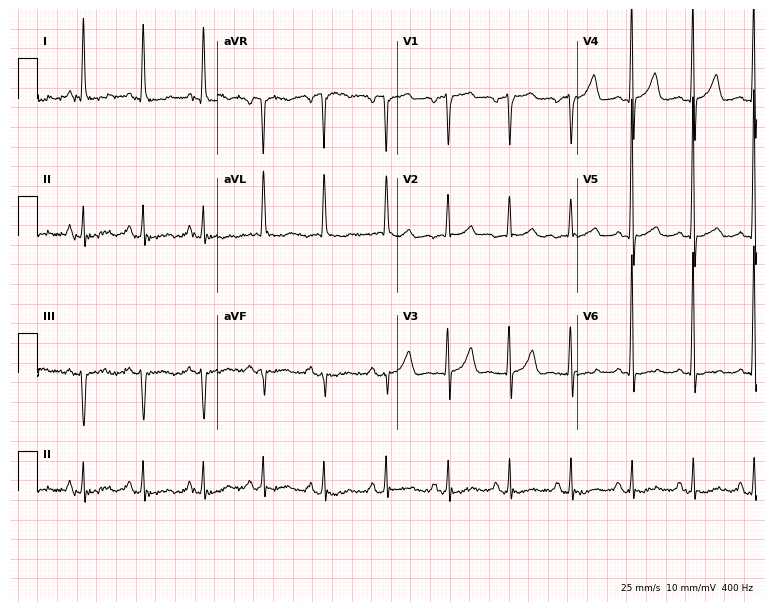
Electrocardiogram, a 74-year-old female. Of the six screened findings (first-degree AV block, right bundle branch block, left bundle branch block, sinus bradycardia, atrial fibrillation, sinus tachycardia), none is recorded. Other findings, if any, are not listed.